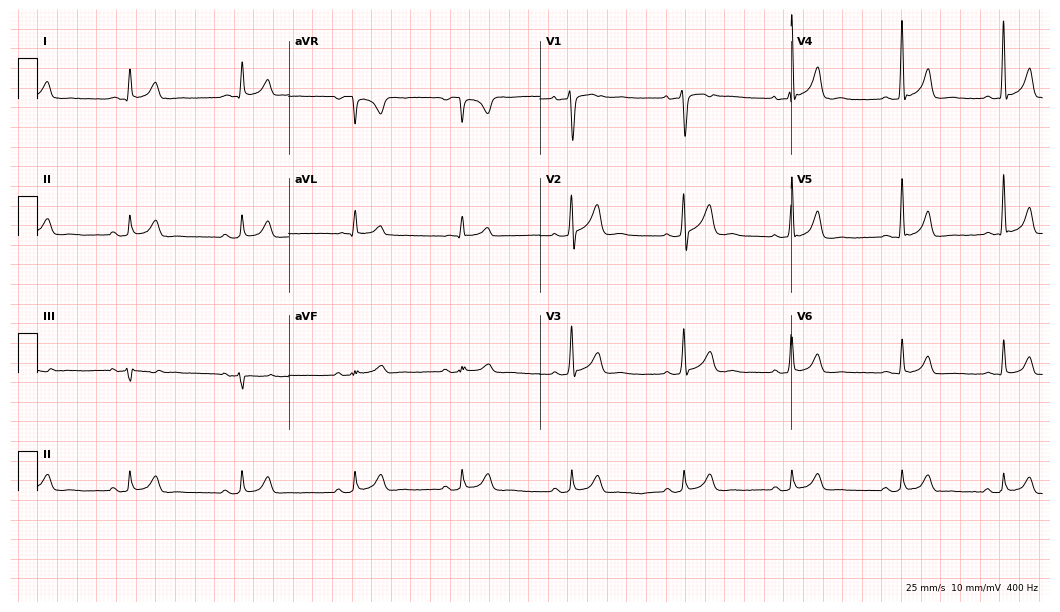
Resting 12-lead electrocardiogram. Patient: a 50-year-old female. None of these six findings is recorded: first-degree AV block, right bundle branch block, left bundle branch block, sinus bradycardia, atrial fibrillation, sinus tachycardia.